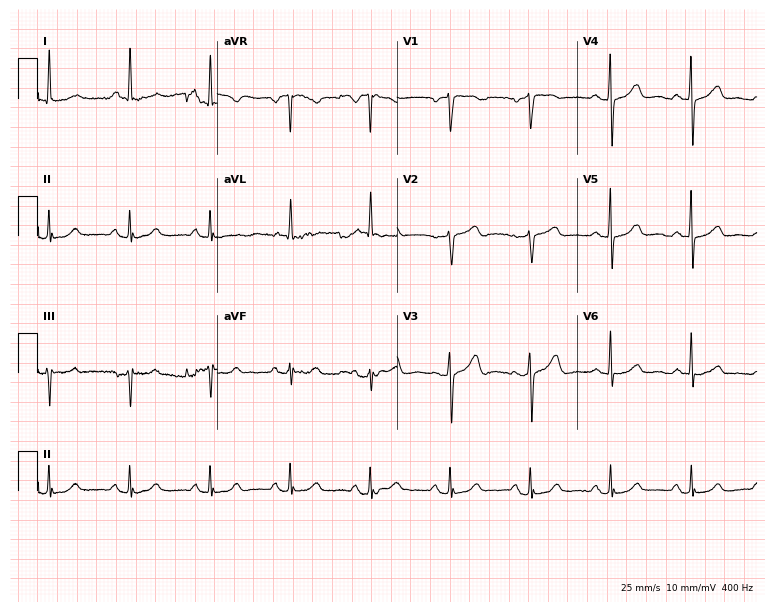
ECG (7.3-second recording at 400 Hz) — a 68-year-old female. Labelled as a normal ECG.